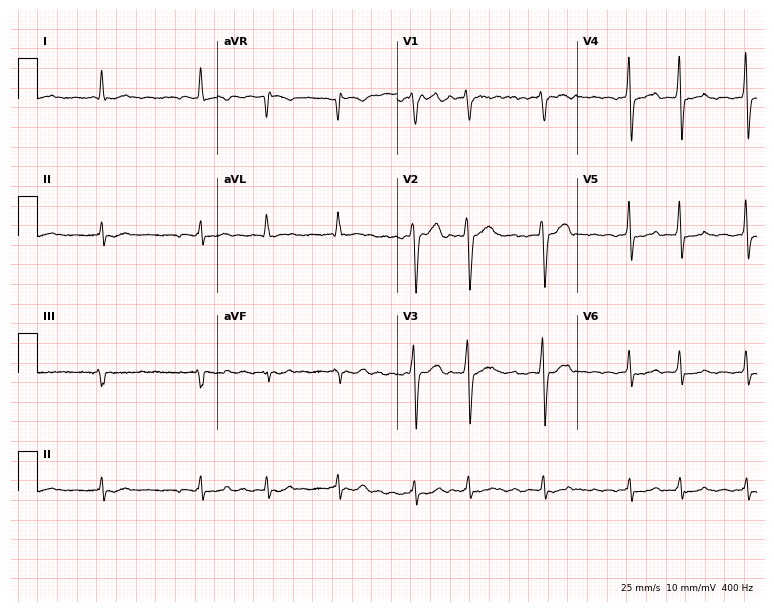
ECG (7.3-second recording at 400 Hz) — a man, 71 years old. Findings include atrial fibrillation.